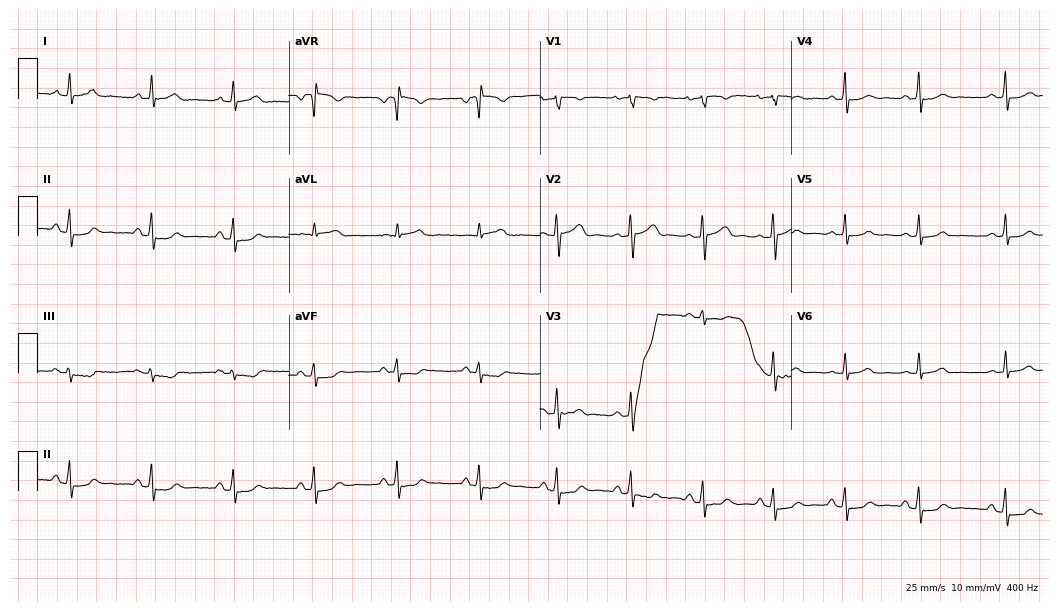
Standard 12-lead ECG recorded from a 37-year-old female patient (10.2-second recording at 400 Hz). None of these six findings is recorded: first-degree AV block, right bundle branch block (RBBB), left bundle branch block (LBBB), sinus bradycardia, atrial fibrillation (AF), sinus tachycardia. Only these six findings were labelled.